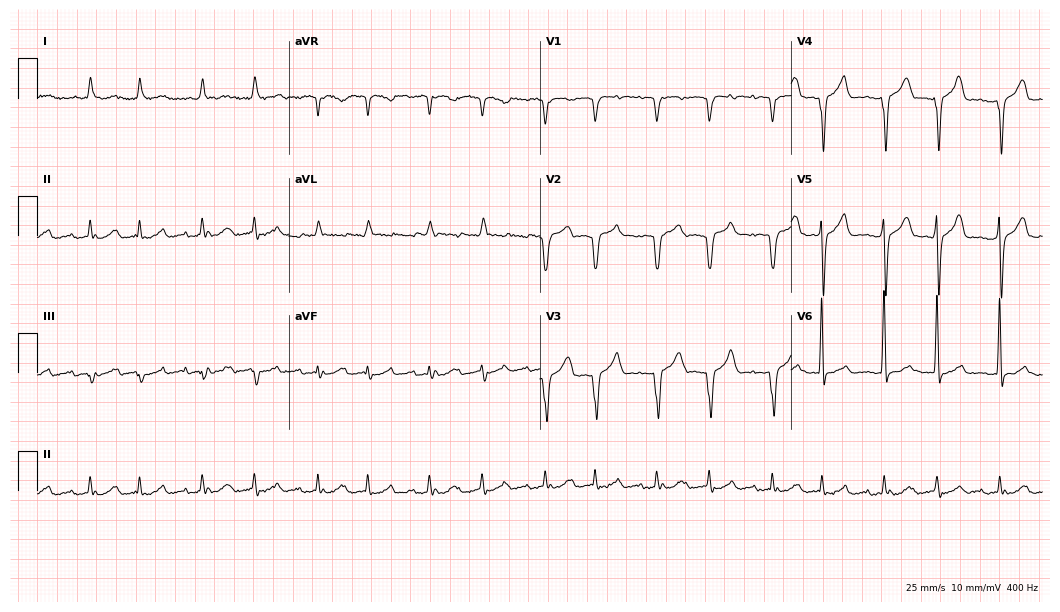
ECG (10.2-second recording at 400 Hz) — a male, 85 years old. Labelled as a normal ECG.